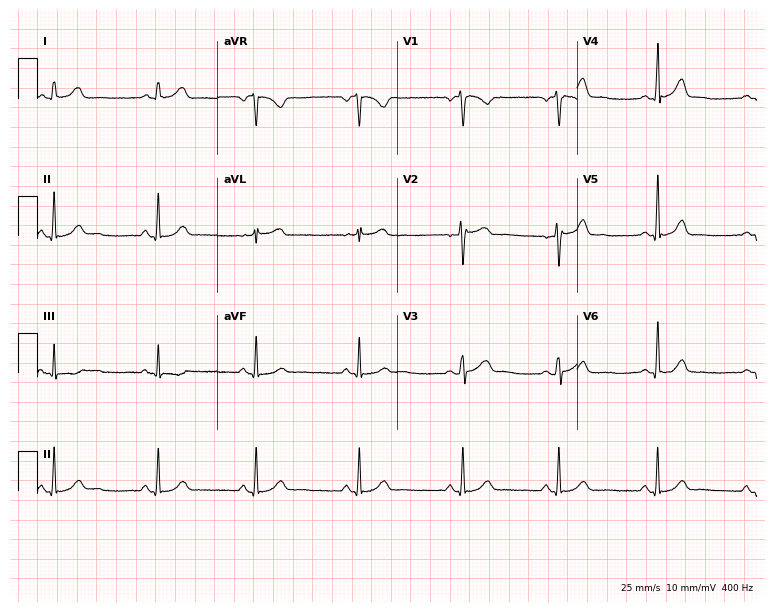
12-lead ECG from a woman, 28 years old. Recorded interpretation: within normal limits.